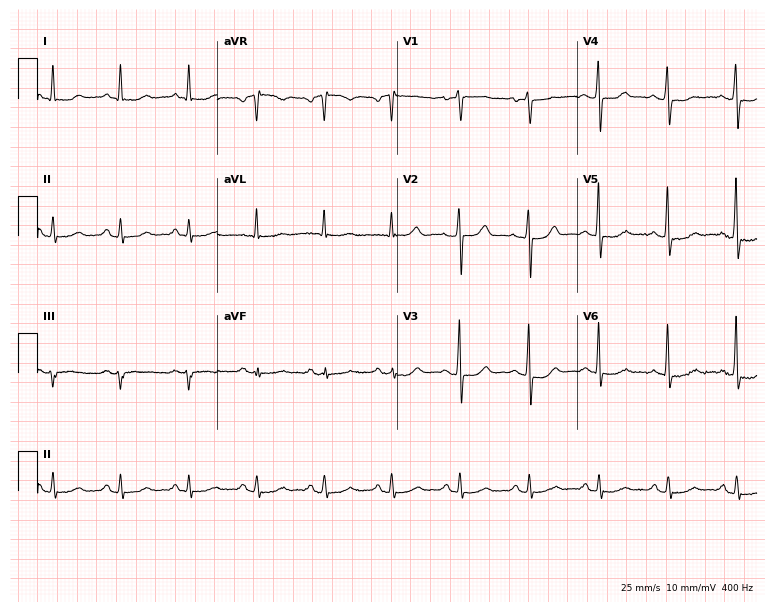
ECG — a woman, 61 years old. Screened for six findings — first-degree AV block, right bundle branch block, left bundle branch block, sinus bradycardia, atrial fibrillation, sinus tachycardia — none is recorded.